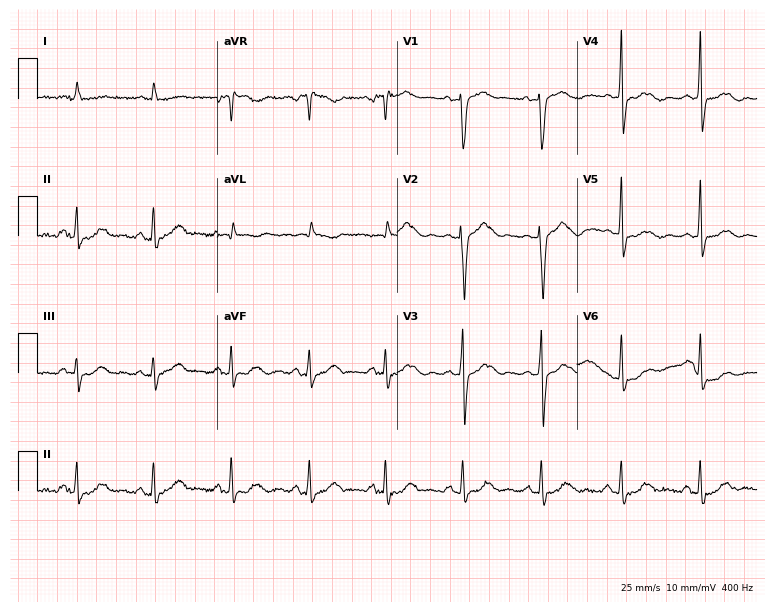
ECG (7.3-second recording at 400 Hz) — an 82-year-old male patient. Screened for six findings — first-degree AV block, right bundle branch block, left bundle branch block, sinus bradycardia, atrial fibrillation, sinus tachycardia — none is recorded. Only these six findings were labelled.